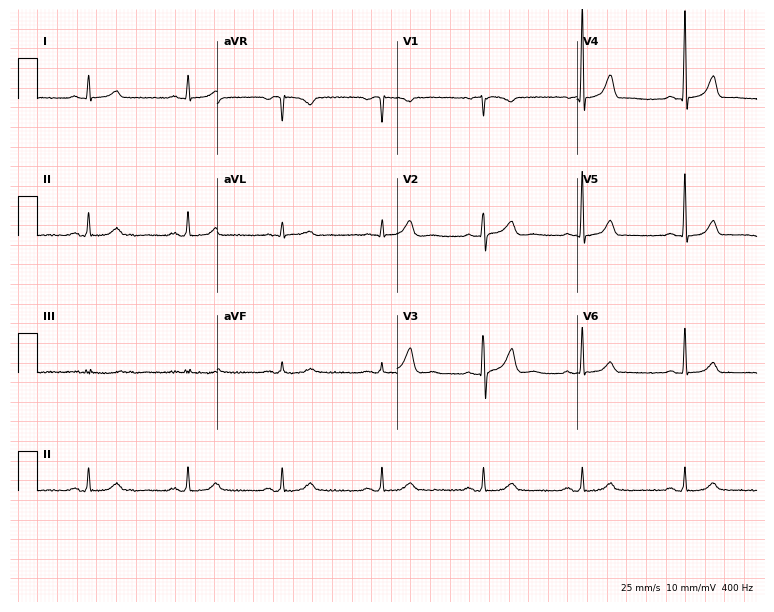
12-lead ECG (7.3-second recording at 400 Hz) from a female, 54 years old. Labelled as a normal ECG.